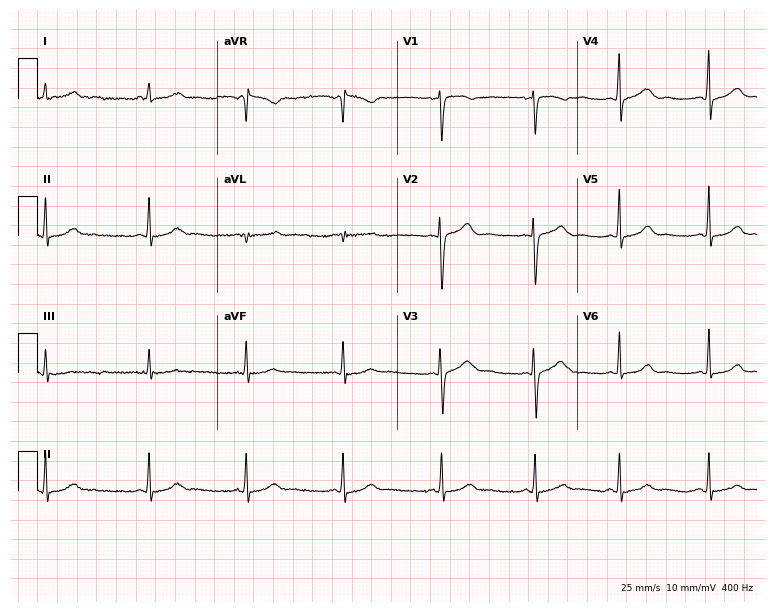
ECG — a female, 25 years old. Labelled as a normal ECG.